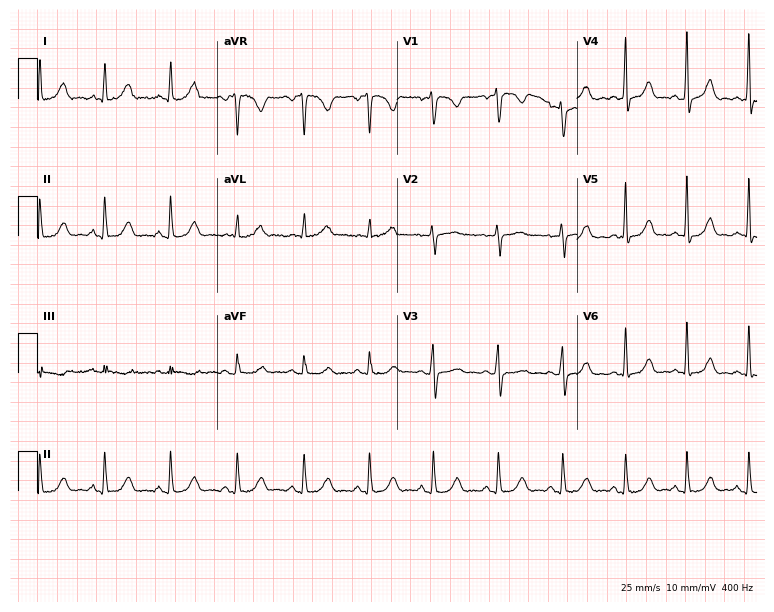
Resting 12-lead electrocardiogram (7.3-second recording at 400 Hz). Patient: a female, 40 years old. Read as a normal ECG.